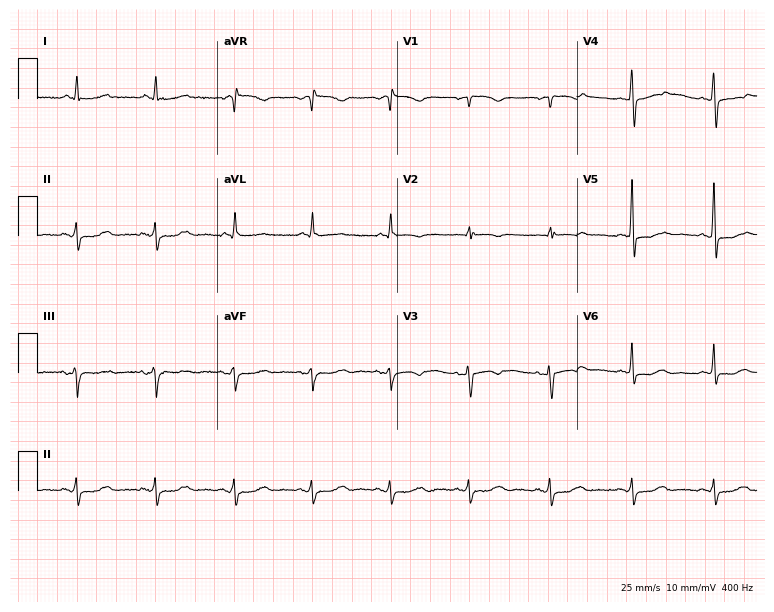
Electrocardiogram (7.3-second recording at 400 Hz), a 59-year-old female. Of the six screened findings (first-degree AV block, right bundle branch block (RBBB), left bundle branch block (LBBB), sinus bradycardia, atrial fibrillation (AF), sinus tachycardia), none is recorded. Findings outside these six are not listed.